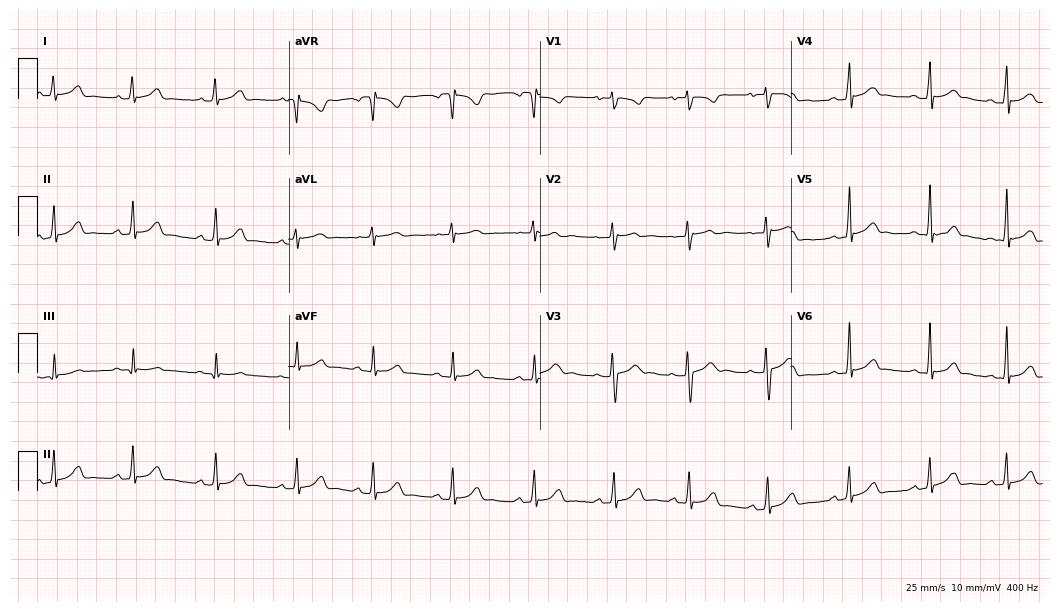
Standard 12-lead ECG recorded from a female, 21 years old. Read as a normal ECG.